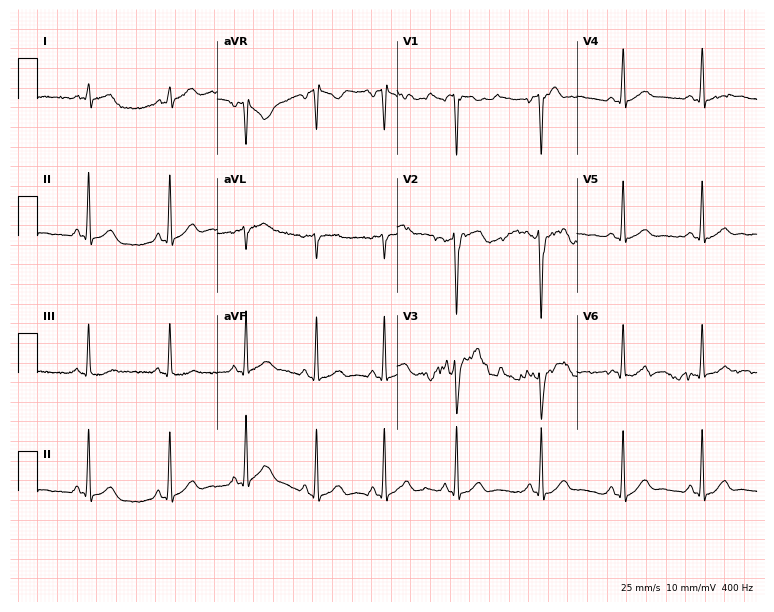
12-lead ECG (7.3-second recording at 400 Hz) from a male patient, 22 years old. Screened for six findings — first-degree AV block, right bundle branch block, left bundle branch block, sinus bradycardia, atrial fibrillation, sinus tachycardia — none is recorded. Only these six findings were labelled.